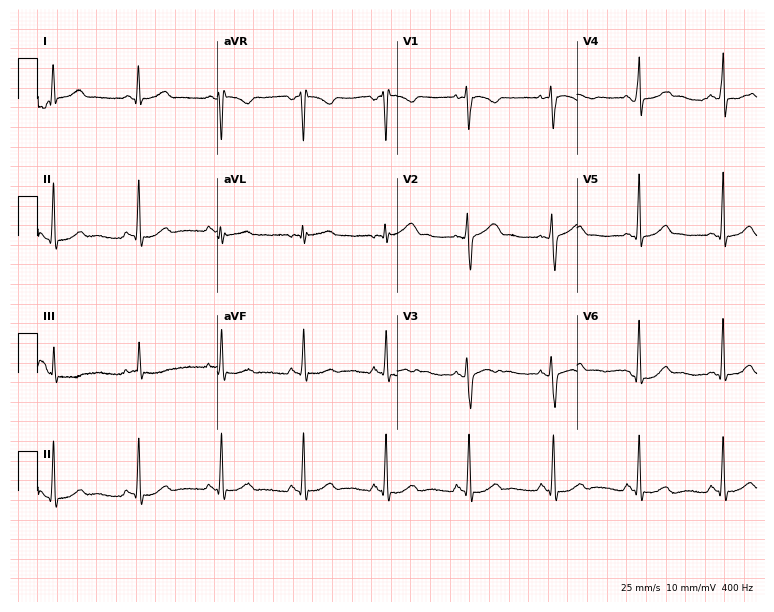
Electrocardiogram, a 23-year-old woman. Overall reading on record: normal ECG.